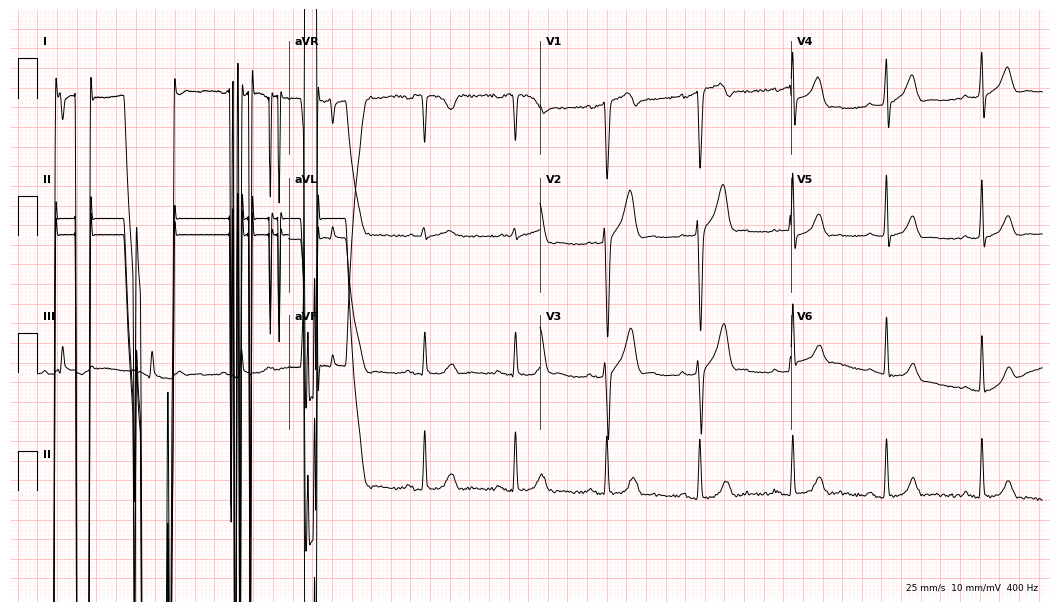
Standard 12-lead ECG recorded from a male patient, 47 years old. None of these six findings is recorded: first-degree AV block, right bundle branch block (RBBB), left bundle branch block (LBBB), sinus bradycardia, atrial fibrillation (AF), sinus tachycardia. Other findings, if any, are not listed.